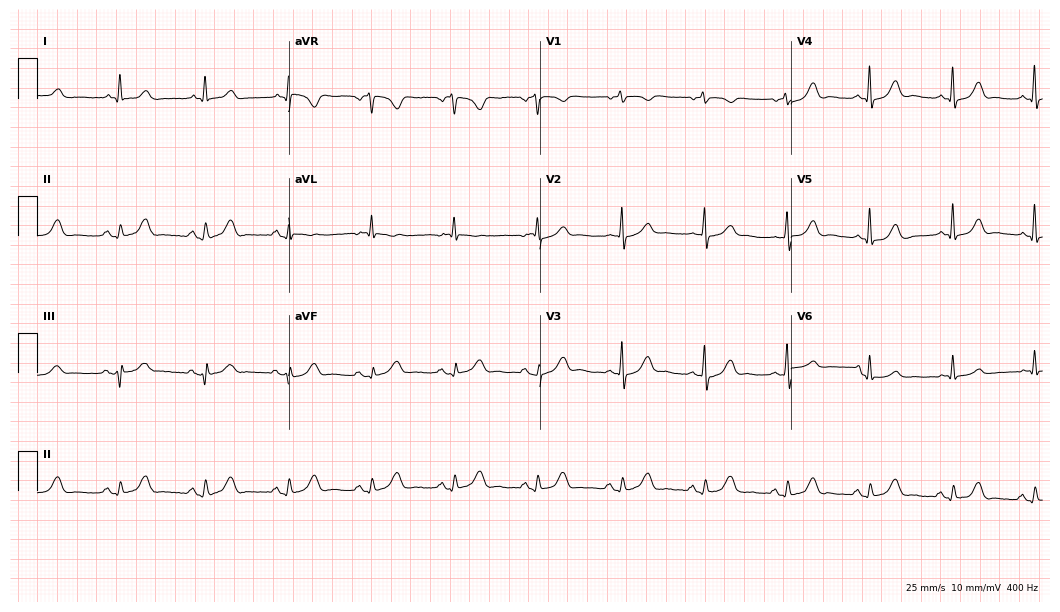
Standard 12-lead ECG recorded from a female patient, 84 years old (10.2-second recording at 400 Hz). None of these six findings is recorded: first-degree AV block, right bundle branch block, left bundle branch block, sinus bradycardia, atrial fibrillation, sinus tachycardia.